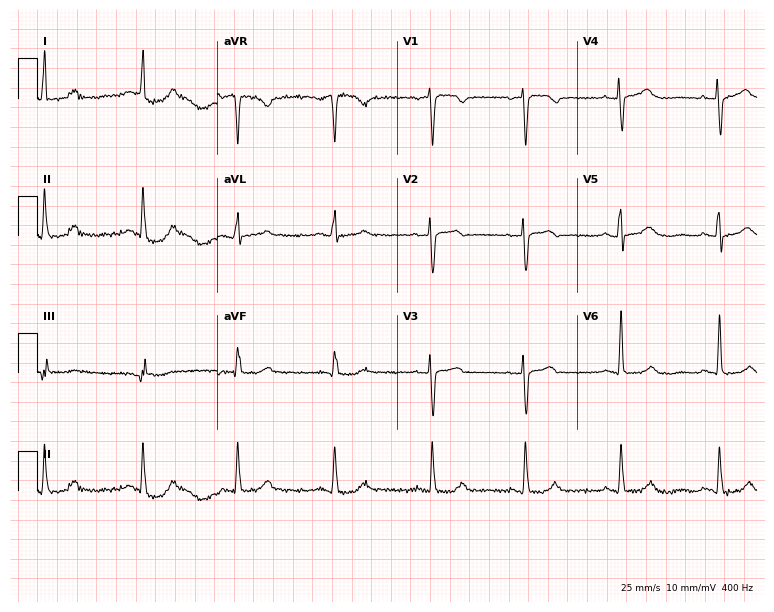
Standard 12-lead ECG recorded from a 57-year-old woman. None of these six findings is recorded: first-degree AV block, right bundle branch block, left bundle branch block, sinus bradycardia, atrial fibrillation, sinus tachycardia. Only these six findings were labelled.